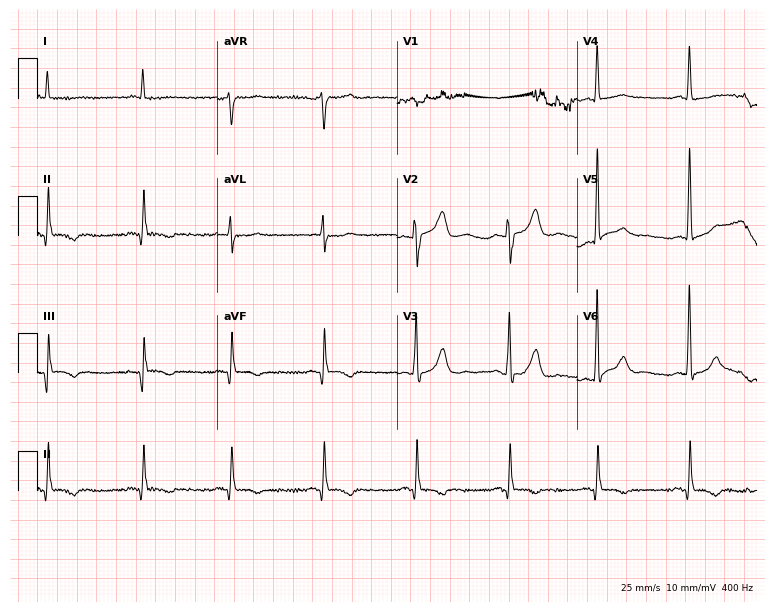
Resting 12-lead electrocardiogram (7.3-second recording at 400 Hz). Patient: a female, 65 years old. None of these six findings is recorded: first-degree AV block, right bundle branch block, left bundle branch block, sinus bradycardia, atrial fibrillation, sinus tachycardia. Other findings, if any, are not listed.